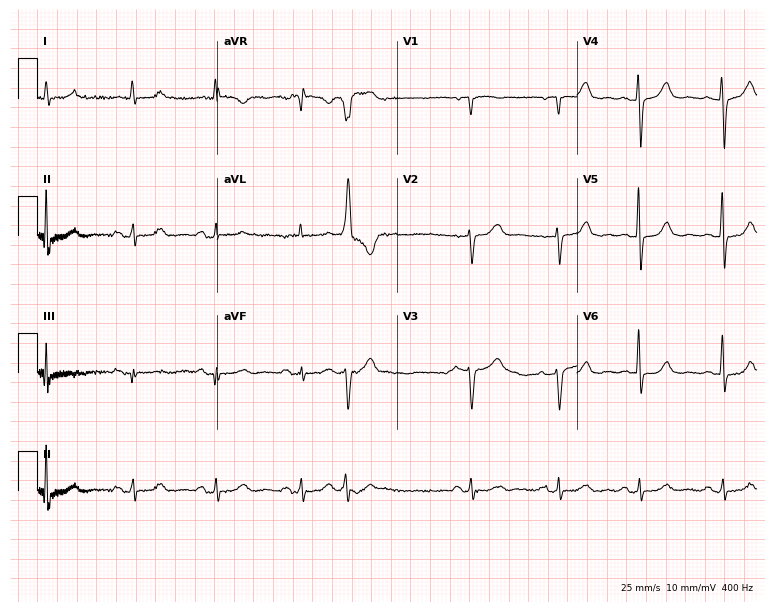
Electrocardiogram, a 66-year-old female. Of the six screened findings (first-degree AV block, right bundle branch block, left bundle branch block, sinus bradycardia, atrial fibrillation, sinus tachycardia), none is recorded. Only these six findings were labelled.